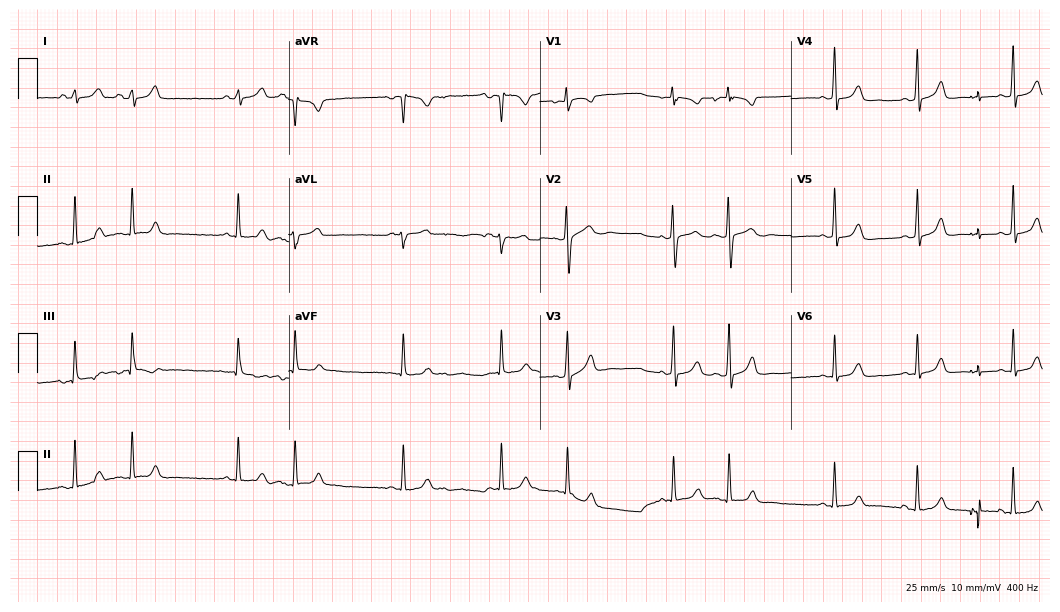
Resting 12-lead electrocardiogram (10.2-second recording at 400 Hz). Patient: a female, 21 years old. None of these six findings is recorded: first-degree AV block, right bundle branch block (RBBB), left bundle branch block (LBBB), sinus bradycardia, atrial fibrillation (AF), sinus tachycardia. Other findings, if any, are not listed.